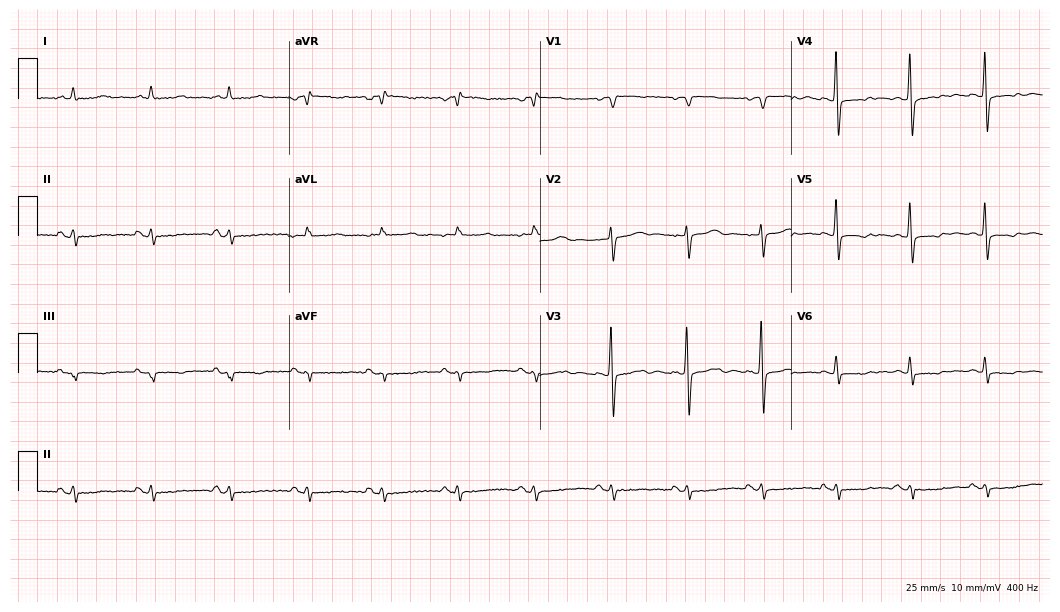
Standard 12-lead ECG recorded from a 72-year-old female (10.2-second recording at 400 Hz). None of these six findings is recorded: first-degree AV block, right bundle branch block (RBBB), left bundle branch block (LBBB), sinus bradycardia, atrial fibrillation (AF), sinus tachycardia. Findings outside these six are not listed.